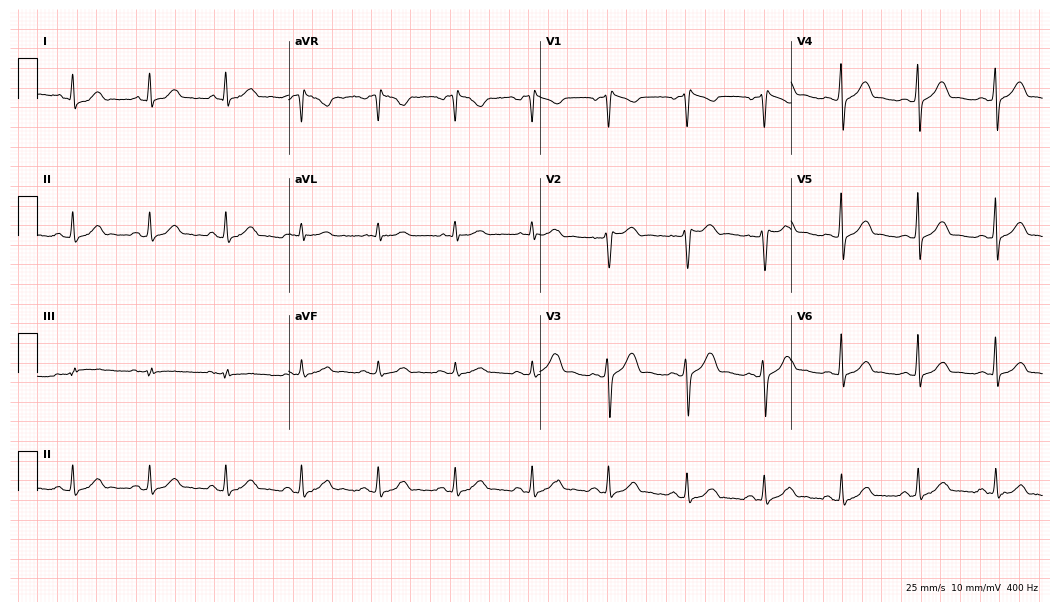
12-lead ECG (10.2-second recording at 400 Hz) from a female patient, 46 years old. Screened for six findings — first-degree AV block, right bundle branch block, left bundle branch block, sinus bradycardia, atrial fibrillation, sinus tachycardia — none is recorded.